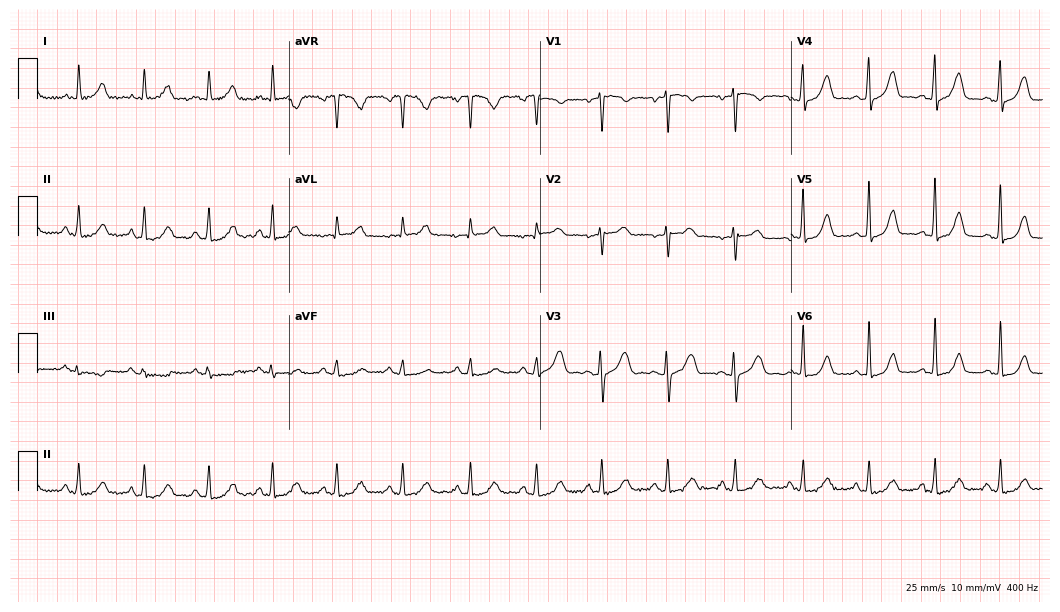
Electrocardiogram (10.2-second recording at 400 Hz), a 49-year-old female patient. Of the six screened findings (first-degree AV block, right bundle branch block (RBBB), left bundle branch block (LBBB), sinus bradycardia, atrial fibrillation (AF), sinus tachycardia), none is recorded. Other findings, if any, are not listed.